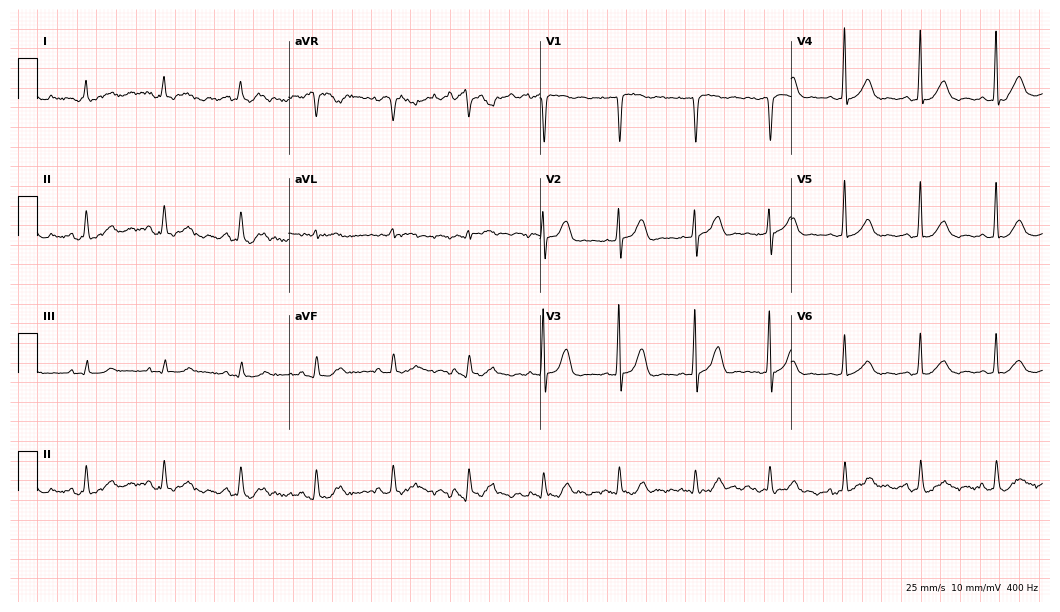
12-lead ECG (10.2-second recording at 400 Hz) from a 73-year-old female patient. Labelled as a normal ECG.